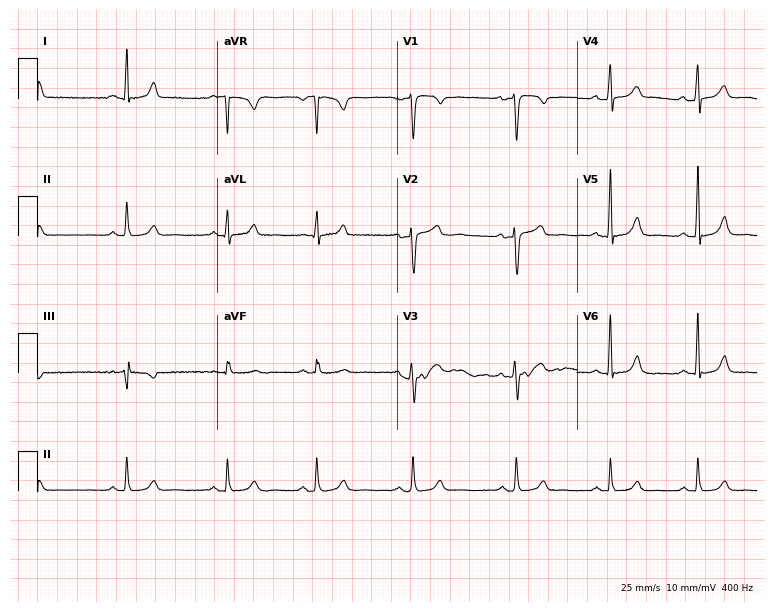
12-lead ECG from a female, 37 years old. Recorded interpretation: within normal limits.